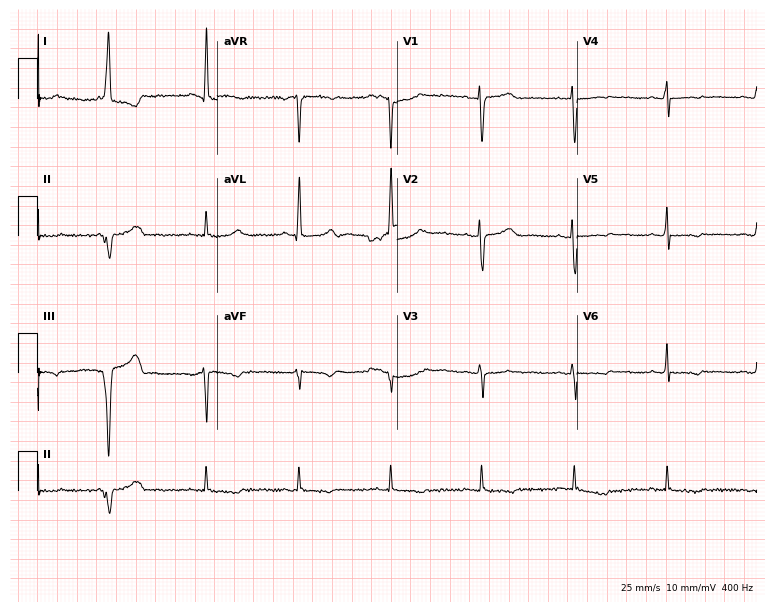
12-lead ECG from a 59-year-old female. No first-degree AV block, right bundle branch block, left bundle branch block, sinus bradycardia, atrial fibrillation or sinus tachycardia recorded for this tracing.